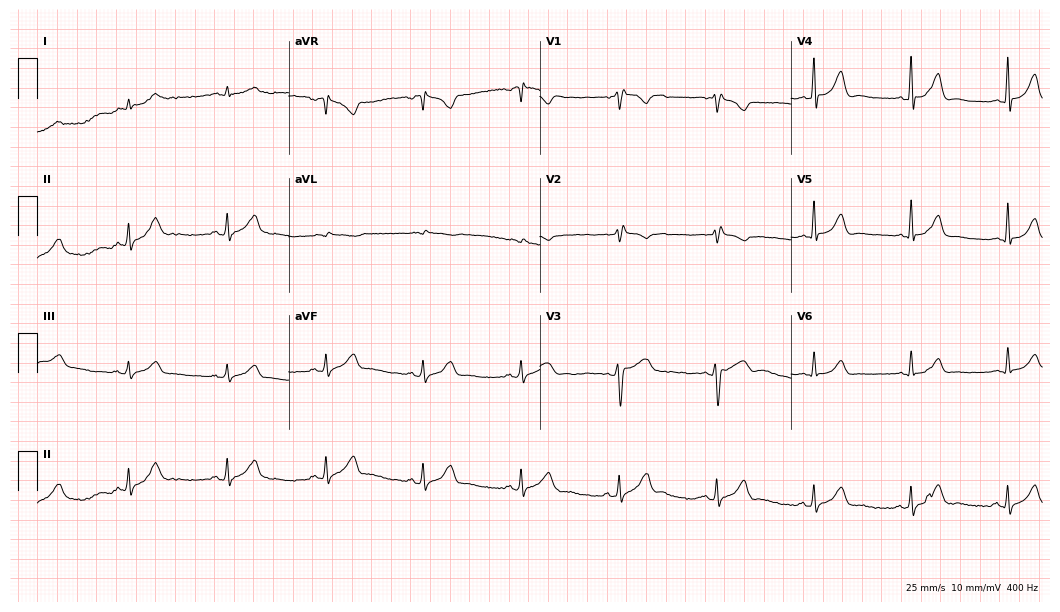
12-lead ECG from a male, 63 years old. Screened for six findings — first-degree AV block, right bundle branch block (RBBB), left bundle branch block (LBBB), sinus bradycardia, atrial fibrillation (AF), sinus tachycardia — none is recorded.